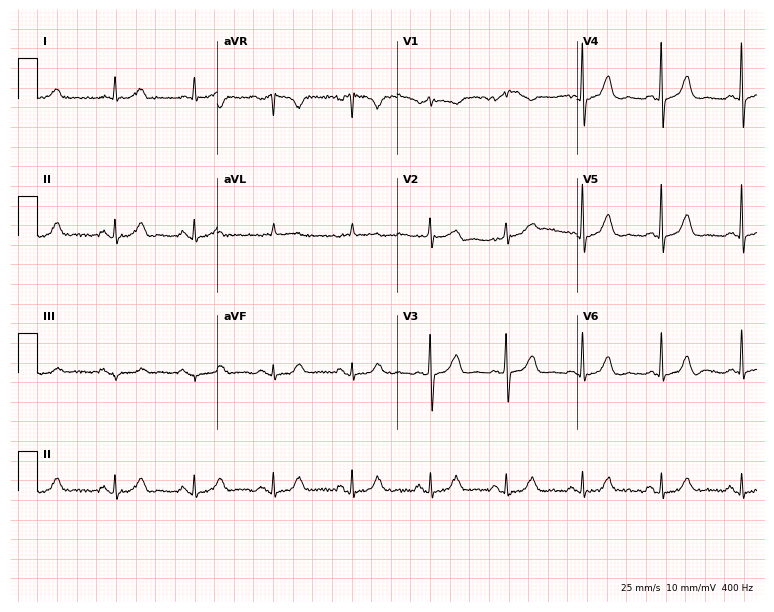
Resting 12-lead electrocardiogram. Patient: a 78-year-old female. None of these six findings is recorded: first-degree AV block, right bundle branch block (RBBB), left bundle branch block (LBBB), sinus bradycardia, atrial fibrillation (AF), sinus tachycardia. Other findings, if any, are not listed.